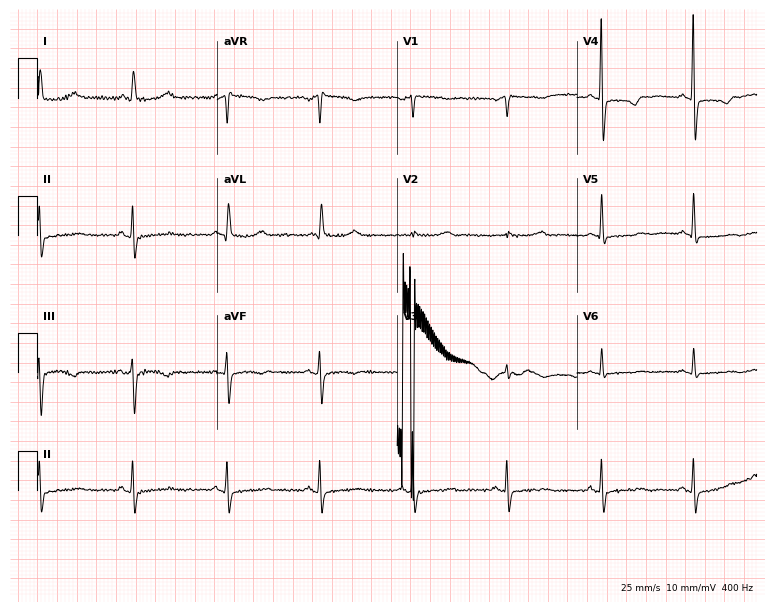
12-lead ECG from a 70-year-old female (7.3-second recording at 400 Hz). No first-degree AV block, right bundle branch block, left bundle branch block, sinus bradycardia, atrial fibrillation or sinus tachycardia recorded for this tracing.